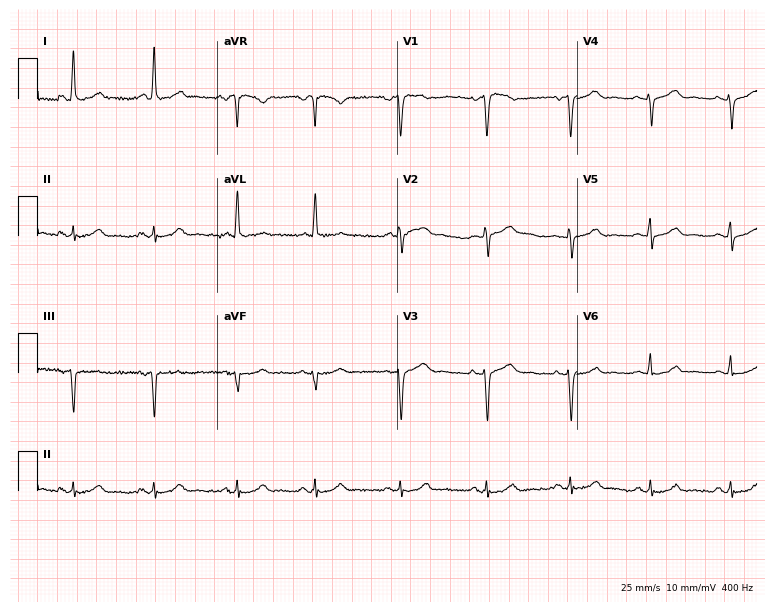
Standard 12-lead ECG recorded from a 49-year-old female. None of these six findings is recorded: first-degree AV block, right bundle branch block, left bundle branch block, sinus bradycardia, atrial fibrillation, sinus tachycardia. Other findings, if any, are not listed.